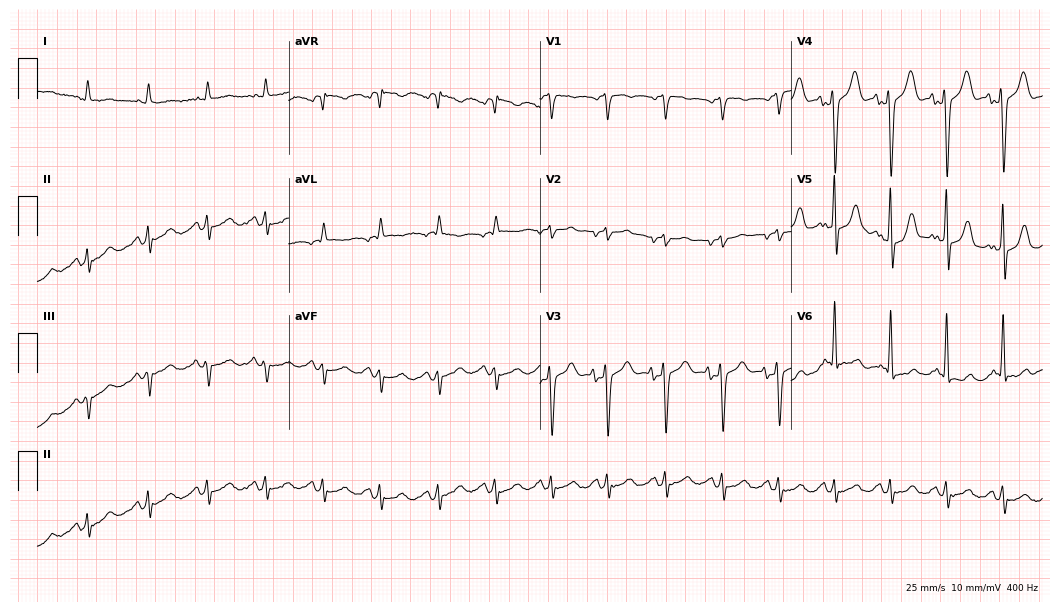
ECG — a man, 54 years old. Findings include sinus tachycardia (a sinus rate of 100 beats per minute or more).